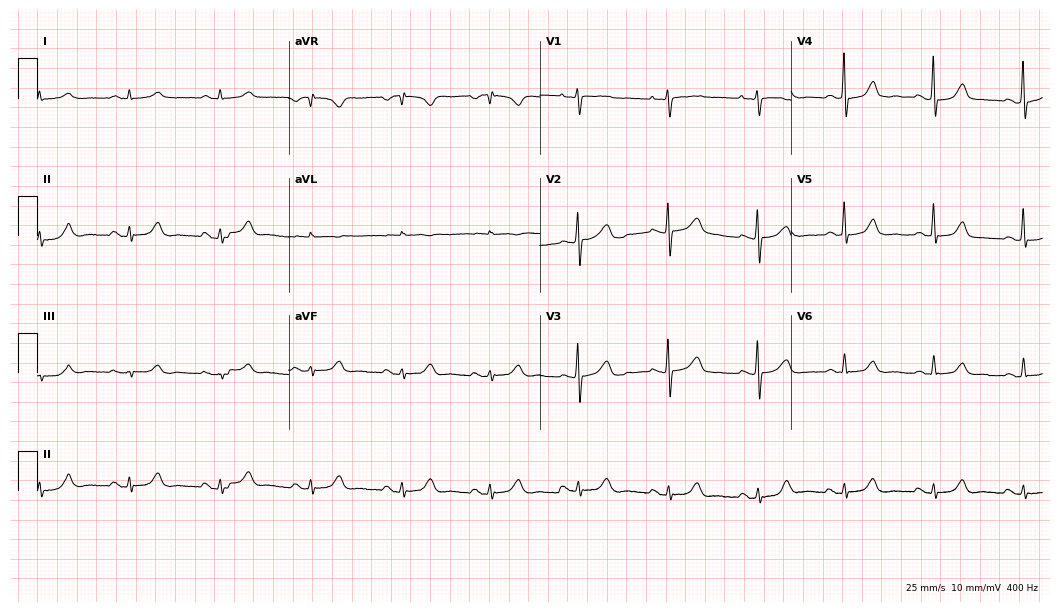
Standard 12-lead ECG recorded from a 60-year-old female patient (10.2-second recording at 400 Hz). None of these six findings is recorded: first-degree AV block, right bundle branch block, left bundle branch block, sinus bradycardia, atrial fibrillation, sinus tachycardia. Findings outside these six are not listed.